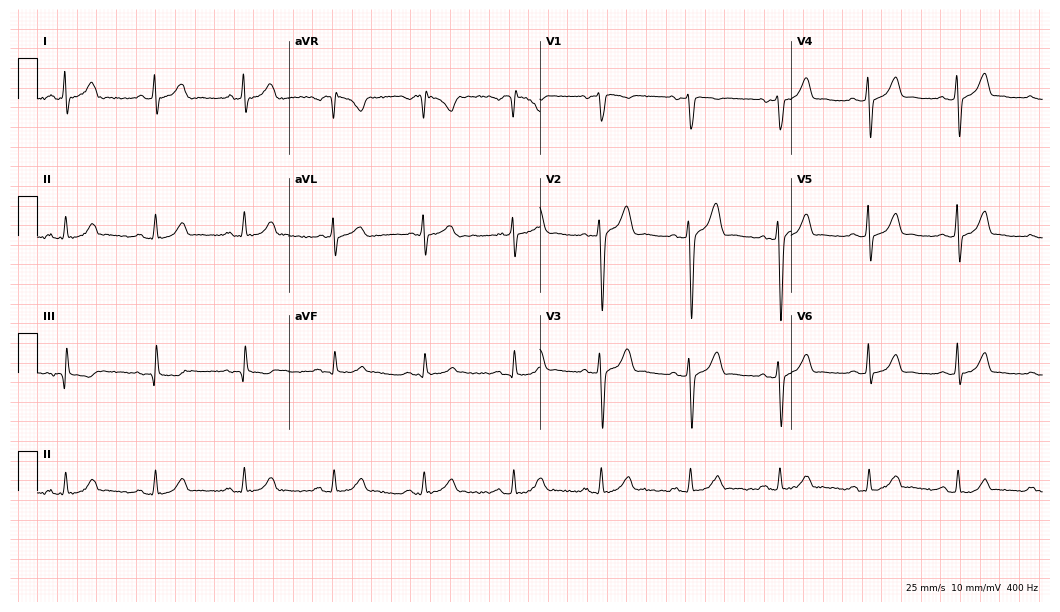
Electrocardiogram, a male patient, 46 years old. Overall reading on record: normal ECG.